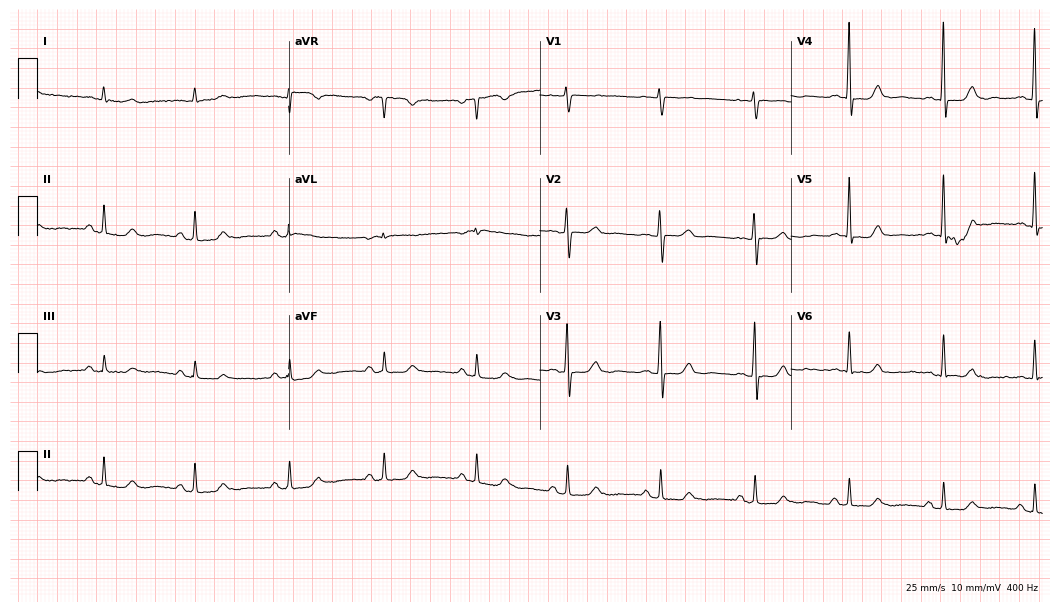
ECG — a female patient, 63 years old. Labelled as a normal ECG.